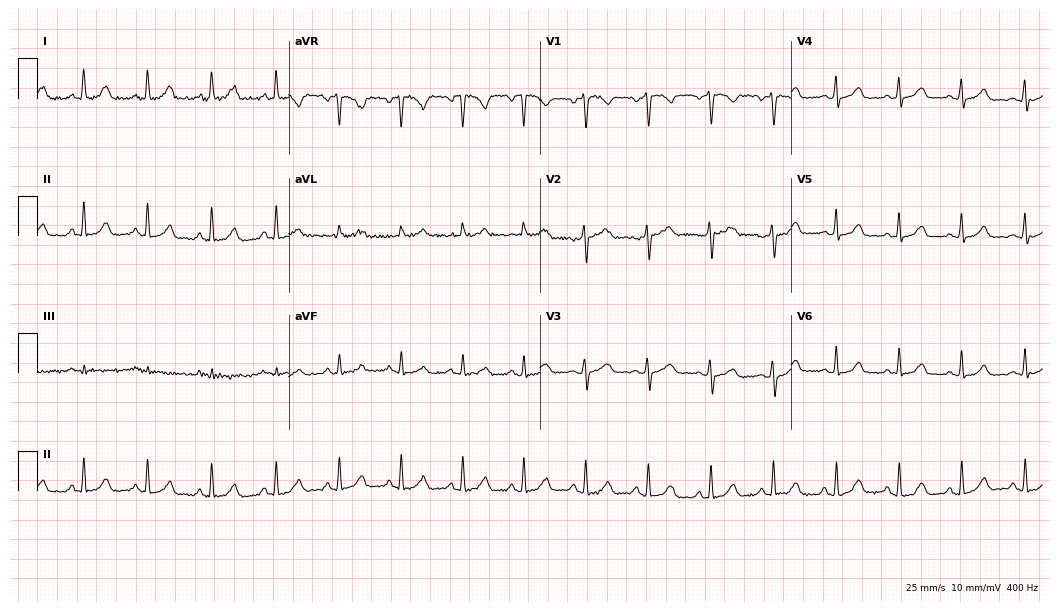
12-lead ECG from a 47-year-old woman. Labelled as a normal ECG.